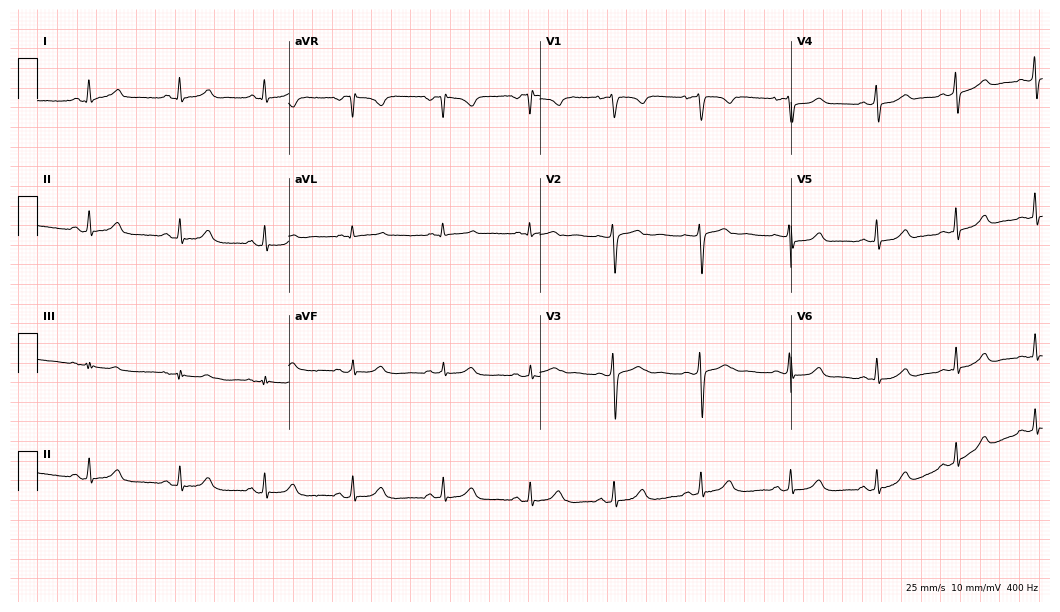
Resting 12-lead electrocardiogram (10.2-second recording at 400 Hz). Patient: a 25-year-old female. Read as a normal ECG.